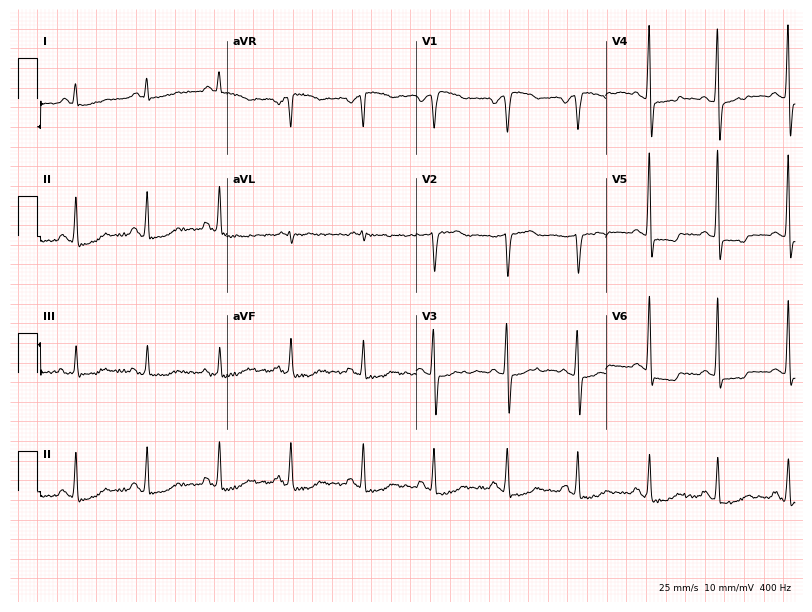
Resting 12-lead electrocardiogram (7.7-second recording at 400 Hz). Patient: a 66-year-old male. None of these six findings is recorded: first-degree AV block, right bundle branch block, left bundle branch block, sinus bradycardia, atrial fibrillation, sinus tachycardia.